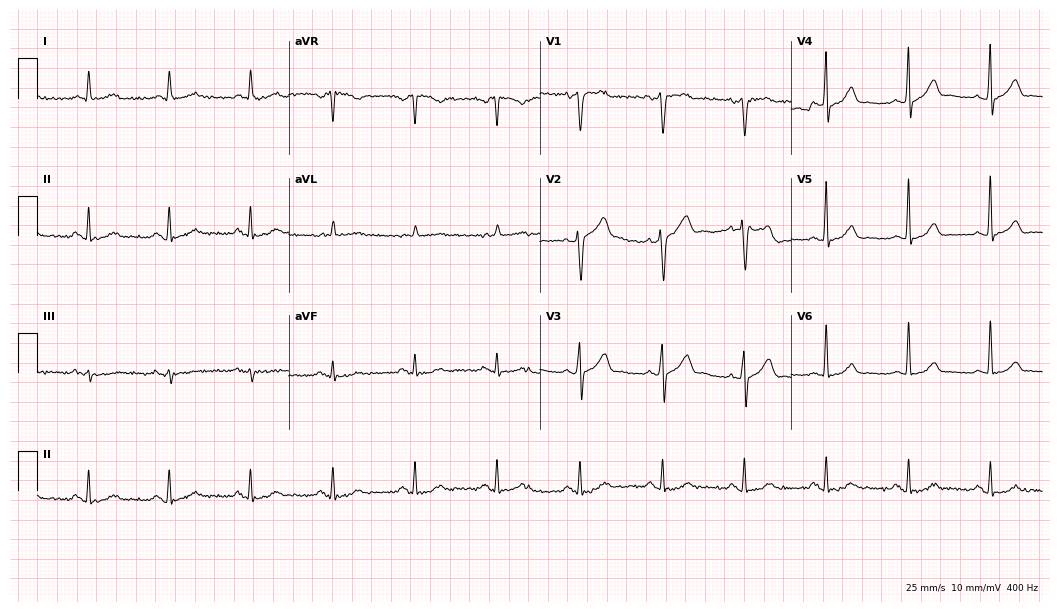
Electrocardiogram (10.2-second recording at 400 Hz), a male, 67 years old. Overall reading on record: normal ECG.